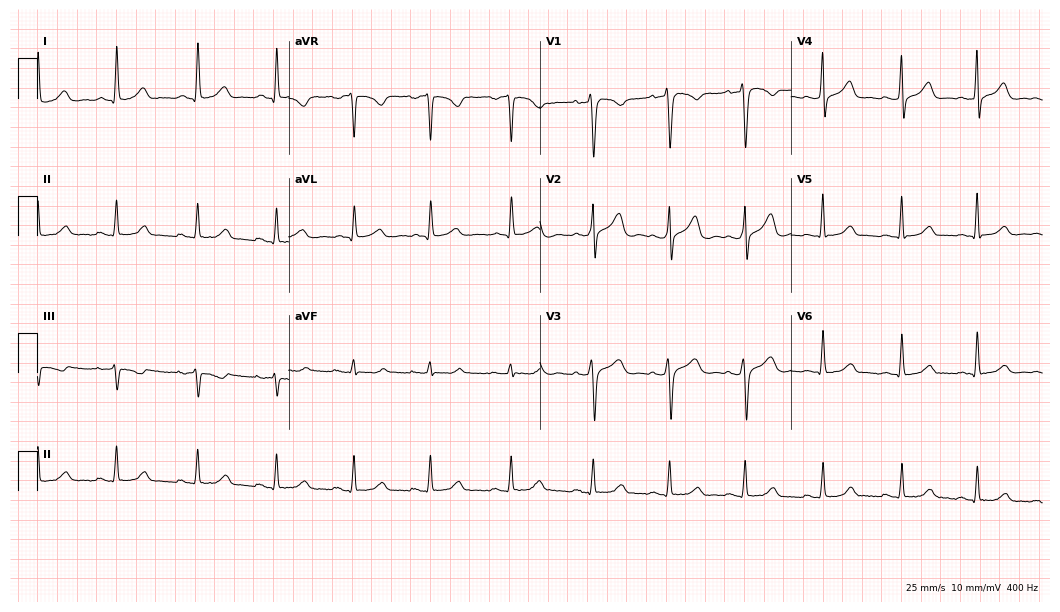
Standard 12-lead ECG recorded from a 32-year-old female (10.2-second recording at 400 Hz). Read as a normal ECG.